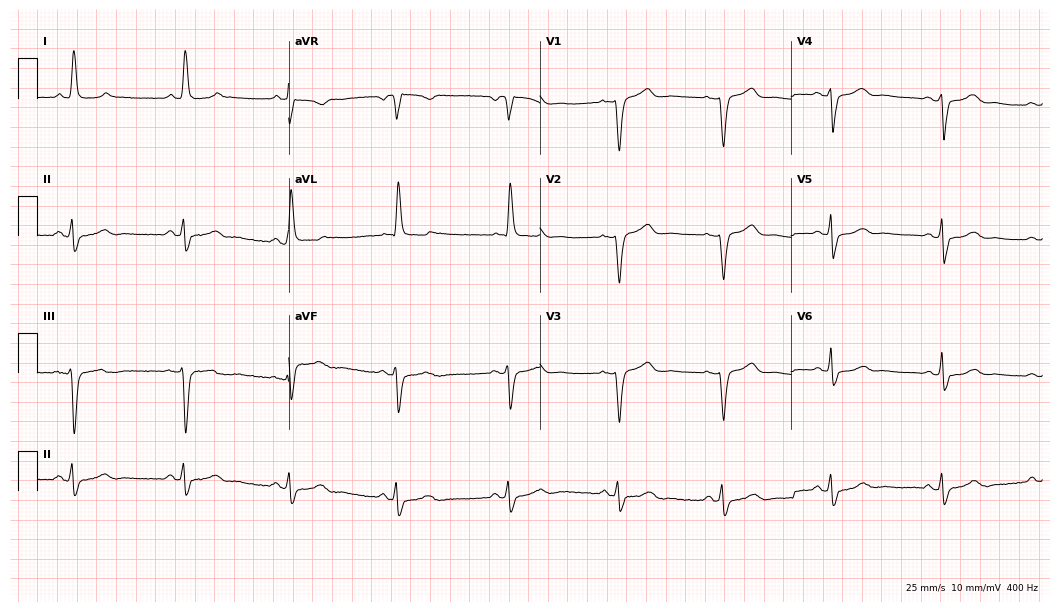
Standard 12-lead ECG recorded from a 64-year-old man. None of these six findings is recorded: first-degree AV block, right bundle branch block (RBBB), left bundle branch block (LBBB), sinus bradycardia, atrial fibrillation (AF), sinus tachycardia.